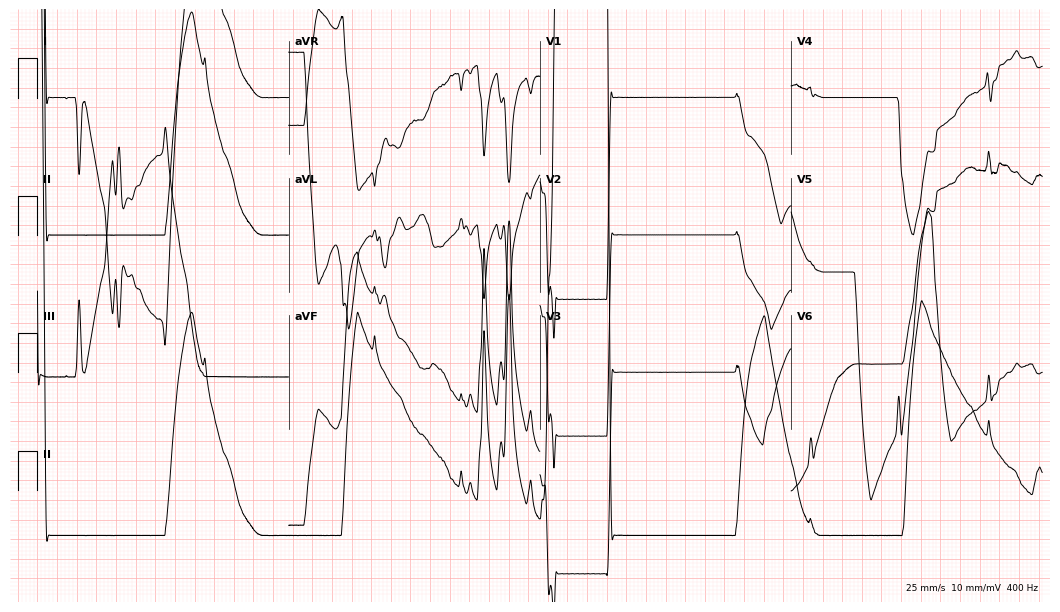
12-lead ECG from a 63-year-old man. Screened for six findings — first-degree AV block, right bundle branch block, left bundle branch block, sinus bradycardia, atrial fibrillation, sinus tachycardia — none is recorded. Other findings, if any, are not listed.